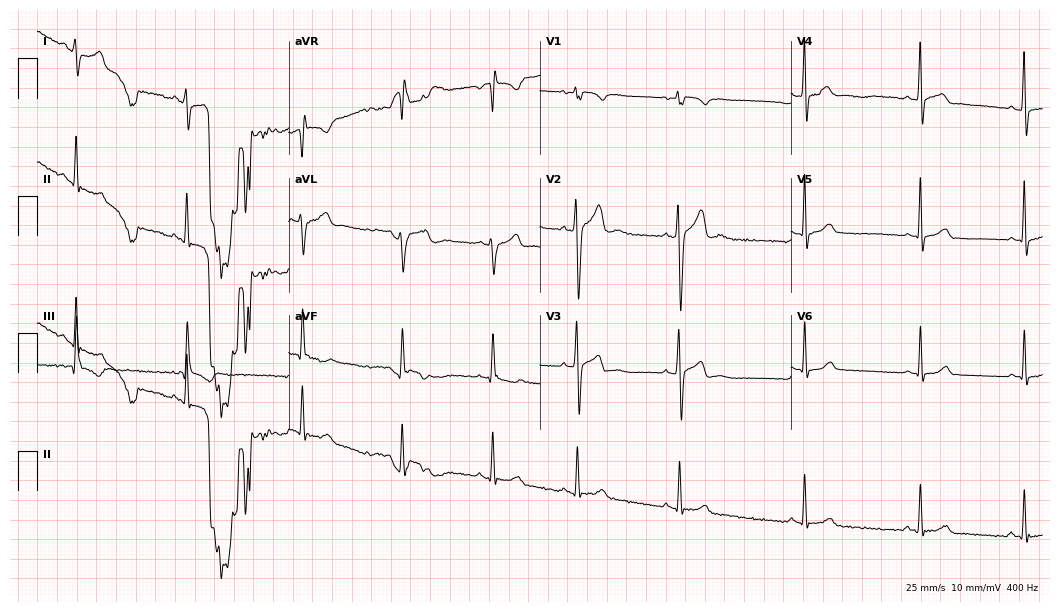
12-lead ECG (10.2-second recording at 400 Hz) from a male patient, 18 years old. Labelled as a normal ECG.